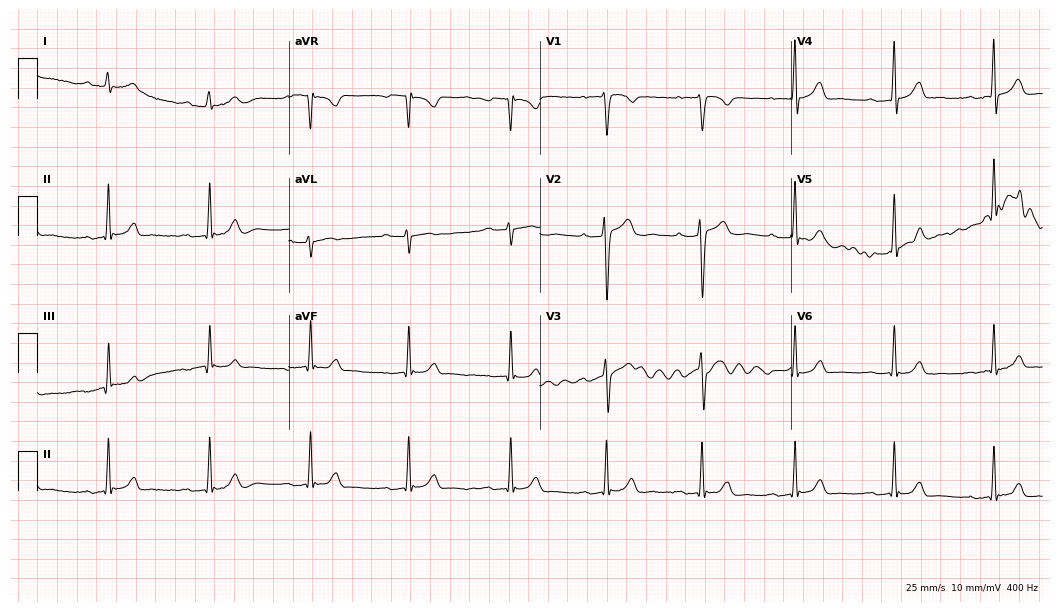
12-lead ECG from a 24-year-old man. Findings include first-degree AV block.